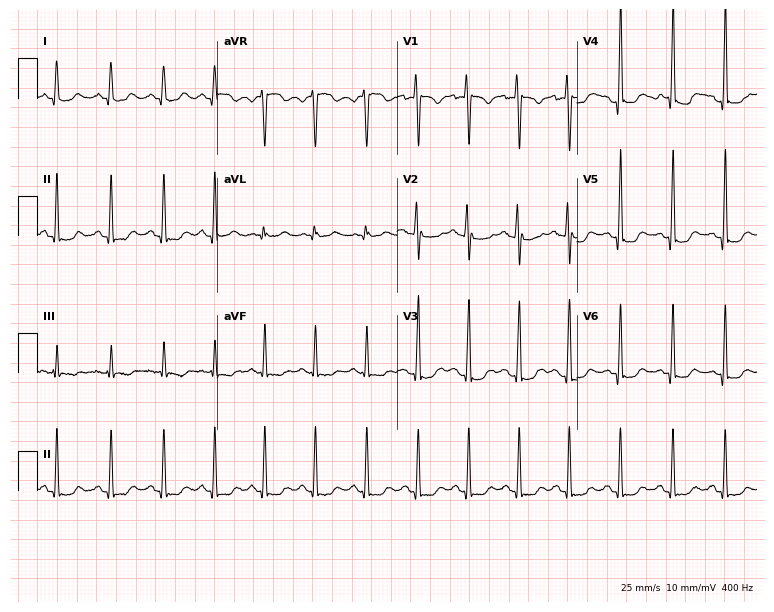
Resting 12-lead electrocardiogram (7.3-second recording at 400 Hz). Patient: a female, 21 years old. The tracing shows sinus tachycardia (a sinus rate of 100 beats per minute or more).